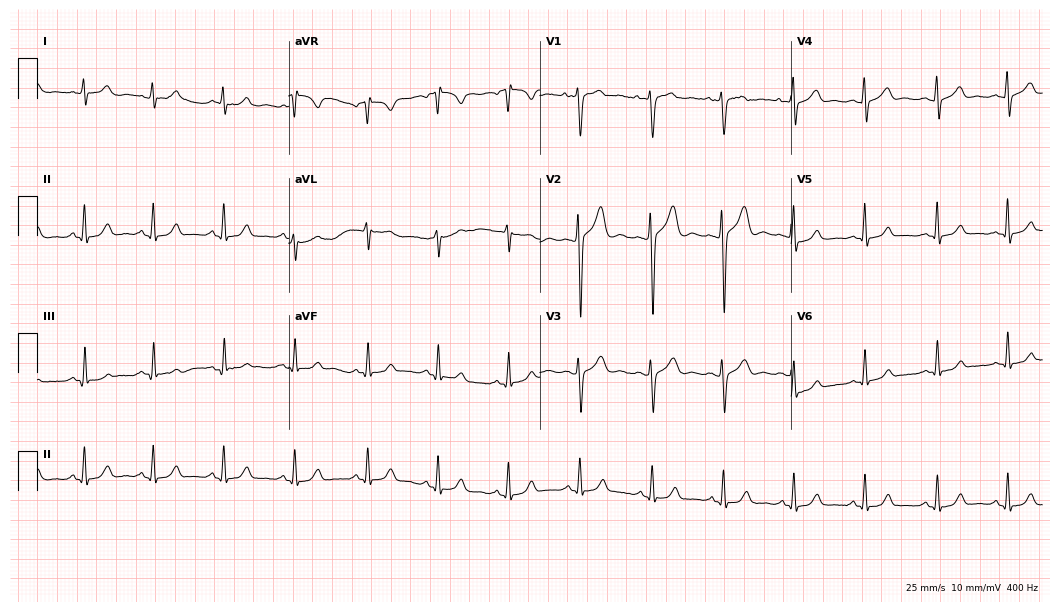
Electrocardiogram (10.2-second recording at 400 Hz), a 30-year-old male patient. Of the six screened findings (first-degree AV block, right bundle branch block, left bundle branch block, sinus bradycardia, atrial fibrillation, sinus tachycardia), none is recorded.